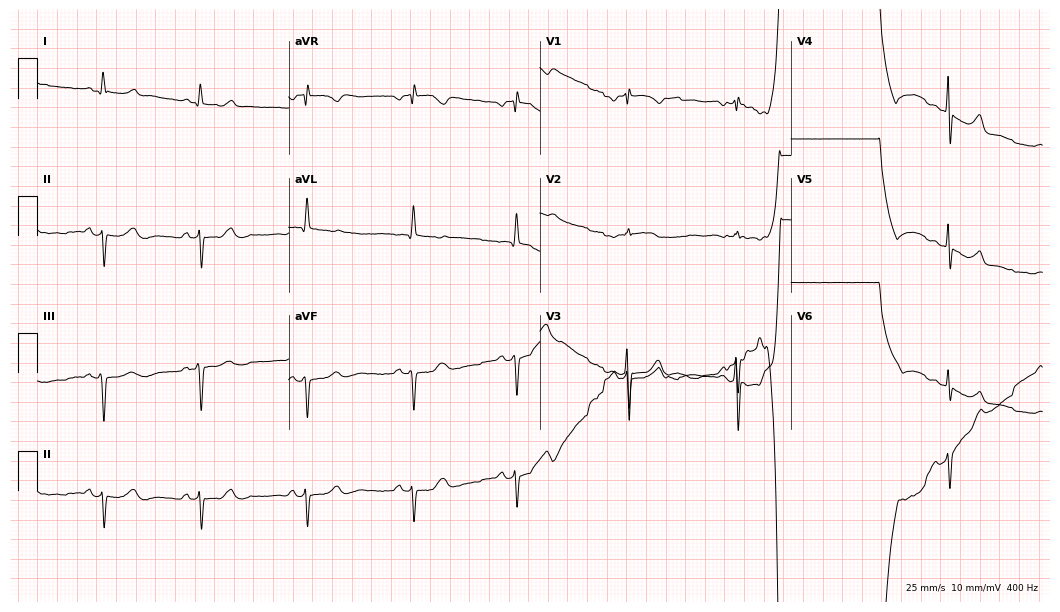
Electrocardiogram, a 55-year-old female. Of the six screened findings (first-degree AV block, right bundle branch block (RBBB), left bundle branch block (LBBB), sinus bradycardia, atrial fibrillation (AF), sinus tachycardia), none is recorded.